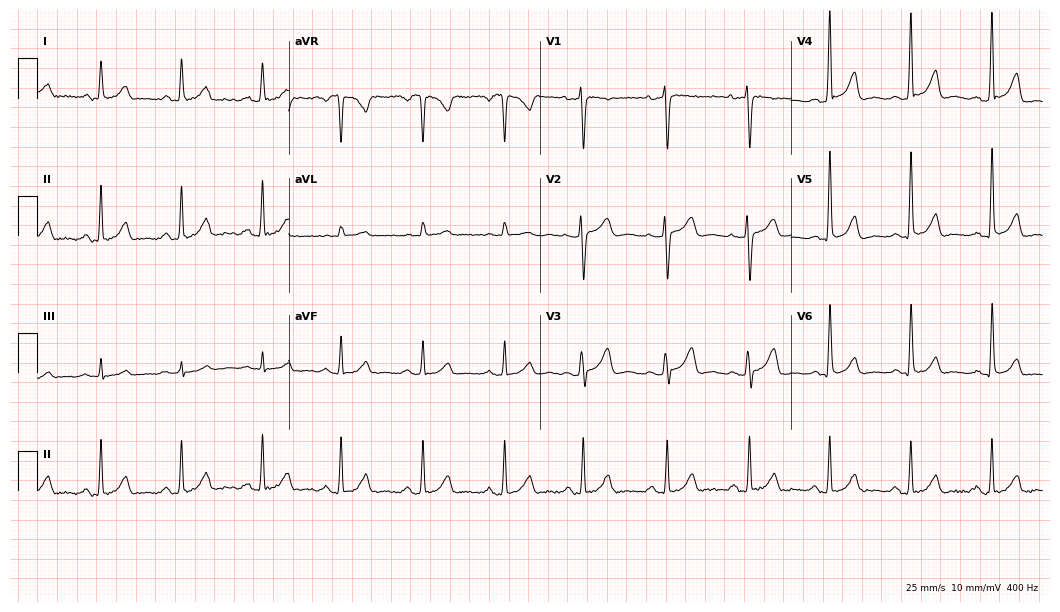
12-lead ECG (10.2-second recording at 400 Hz) from a 46-year-old female. Labelled as a normal ECG.